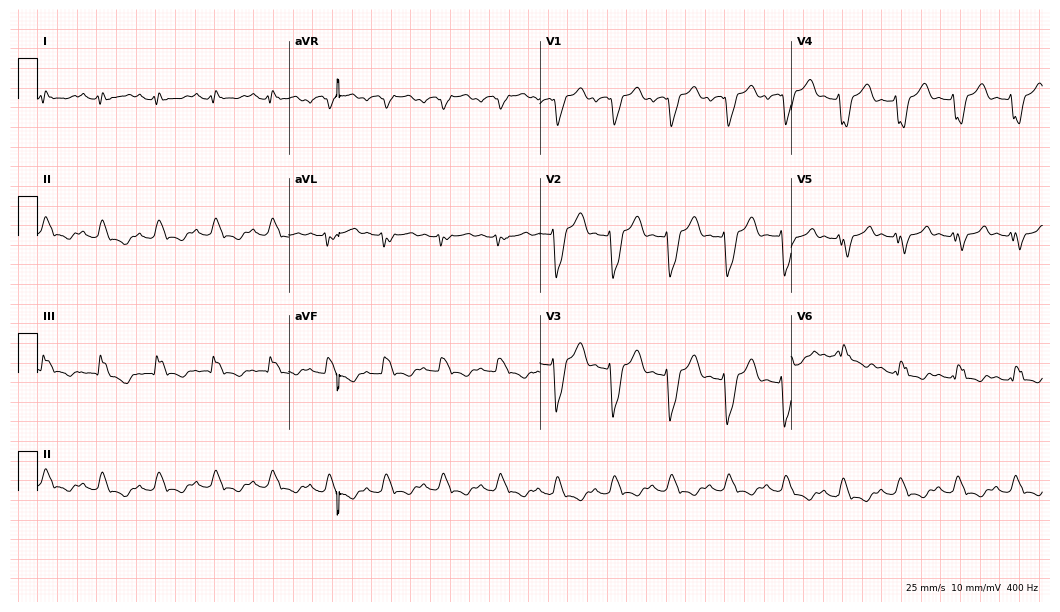
12-lead ECG from a woman, 42 years old (10.2-second recording at 400 Hz). Shows left bundle branch block.